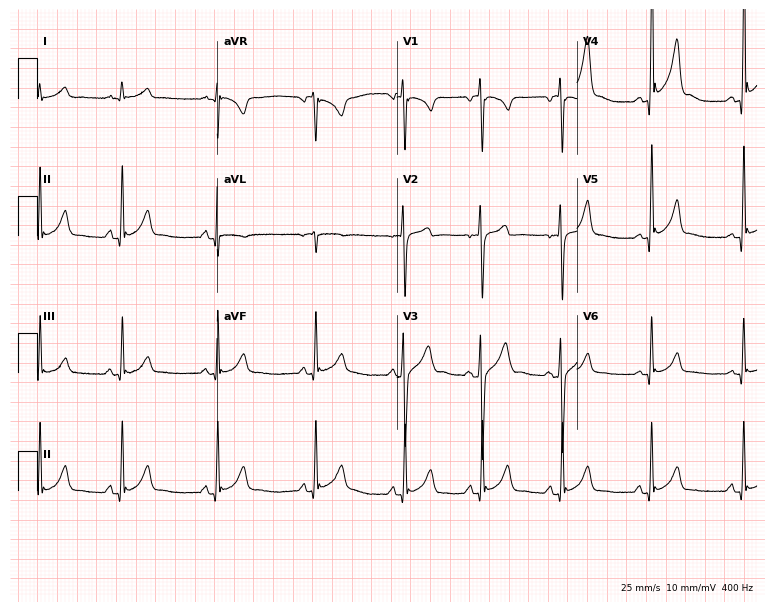
12-lead ECG from a 29-year-old male patient. Labelled as a normal ECG.